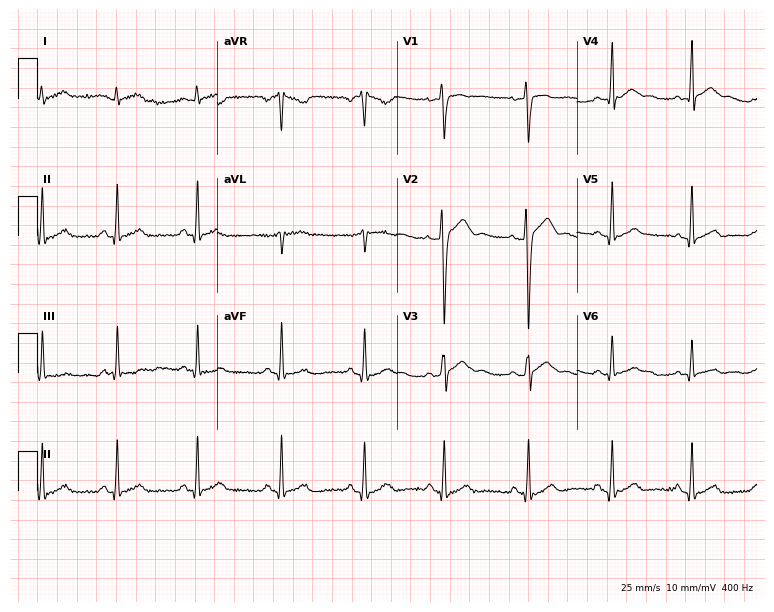
Standard 12-lead ECG recorded from a 32-year-old male patient (7.3-second recording at 400 Hz). None of these six findings is recorded: first-degree AV block, right bundle branch block, left bundle branch block, sinus bradycardia, atrial fibrillation, sinus tachycardia.